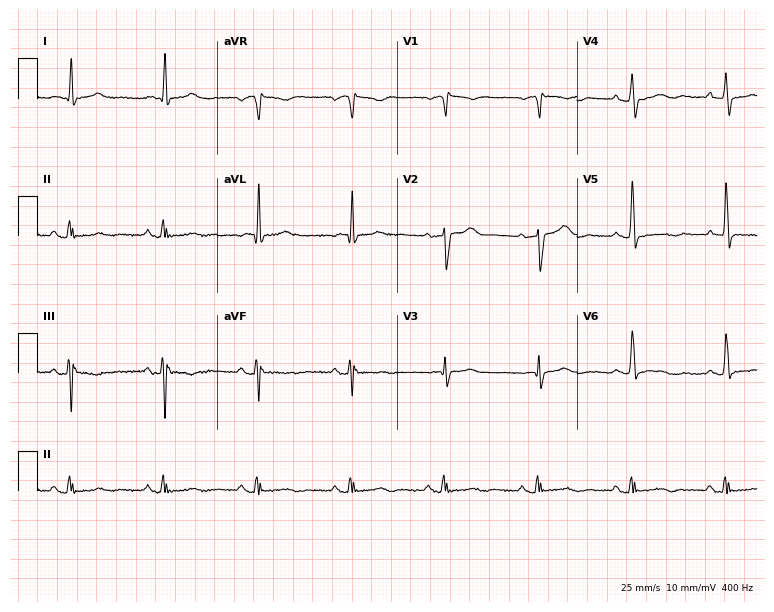
Standard 12-lead ECG recorded from a 77-year-old male patient. None of these six findings is recorded: first-degree AV block, right bundle branch block (RBBB), left bundle branch block (LBBB), sinus bradycardia, atrial fibrillation (AF), sinus tachycardia.